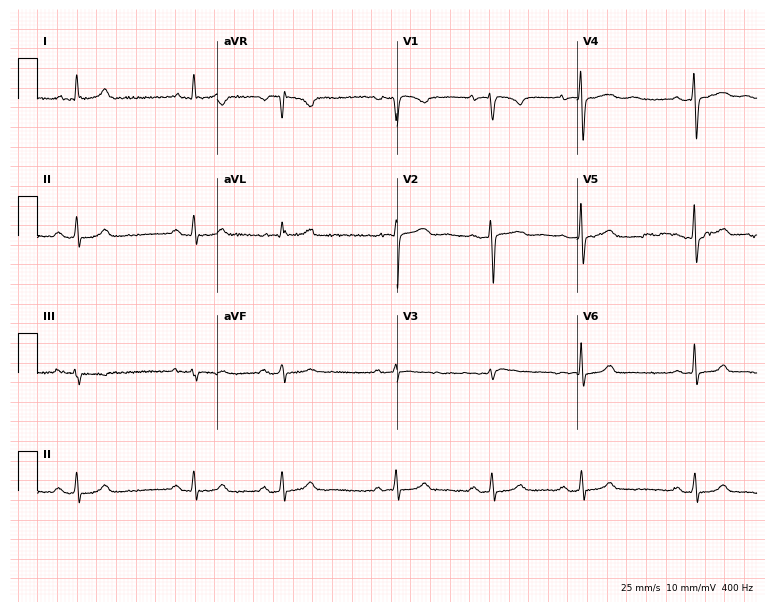
Electrocardiogram (7.3-second recording at 400 Hz), a 35-year-old female. Overall reading on record: normal ECG.